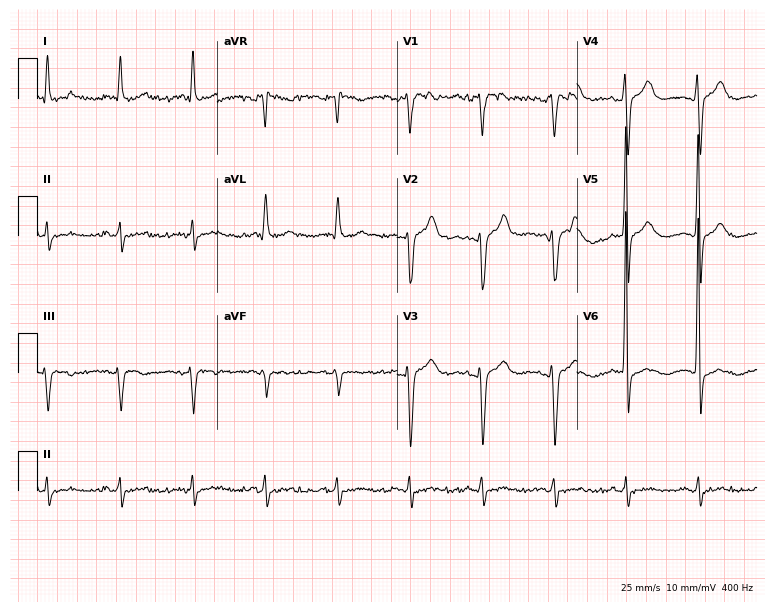
12-lead ECG from a 70-year-old male. Screened for six findings — first-degree AV block, right bundle branch block, left bundle branch block, sinus bradycardia, atrial fibrillation, sinus tachycardia — none is recorded.